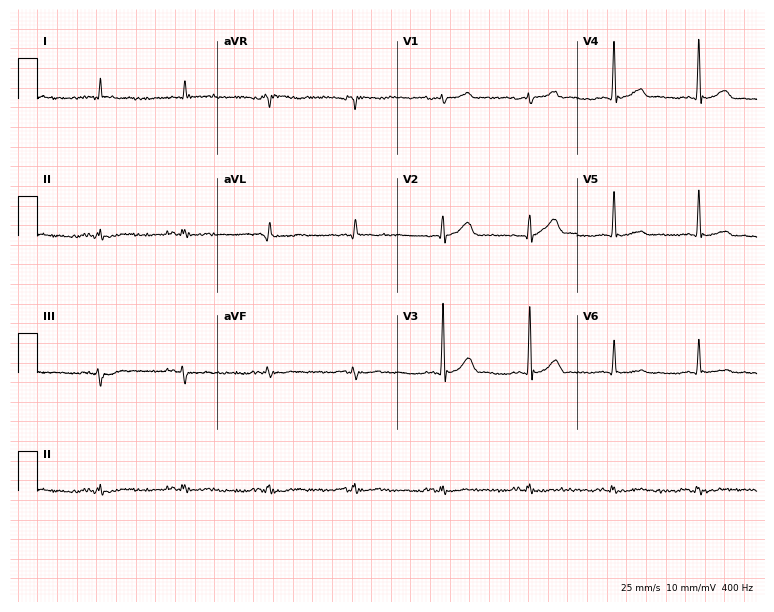
12-lead ECG from a man, 67 years old. No first-degree AV block, right bundle branch block, left bundle branch block, sinus bradycardia, atrial fibrillation or sinus tachycardia recorded for this tracing. Other findings, if any, are not listed.